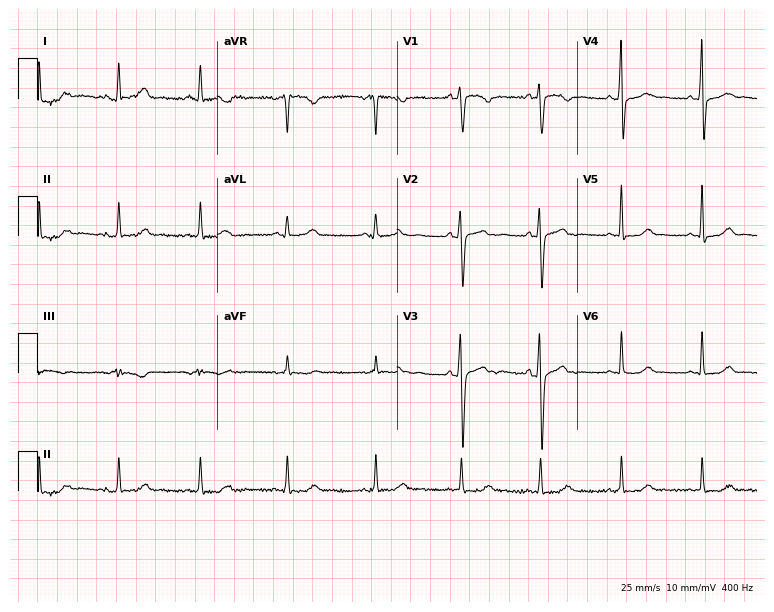
12-lead ECG from a female patient, 21 years old. No first-degree AV block, right bundle branch block, left bundle branch block, sinus bradycardia, atrial fibrillation or sinus tachycardia recorded for this tracing. Other findings, if any, are not listed.